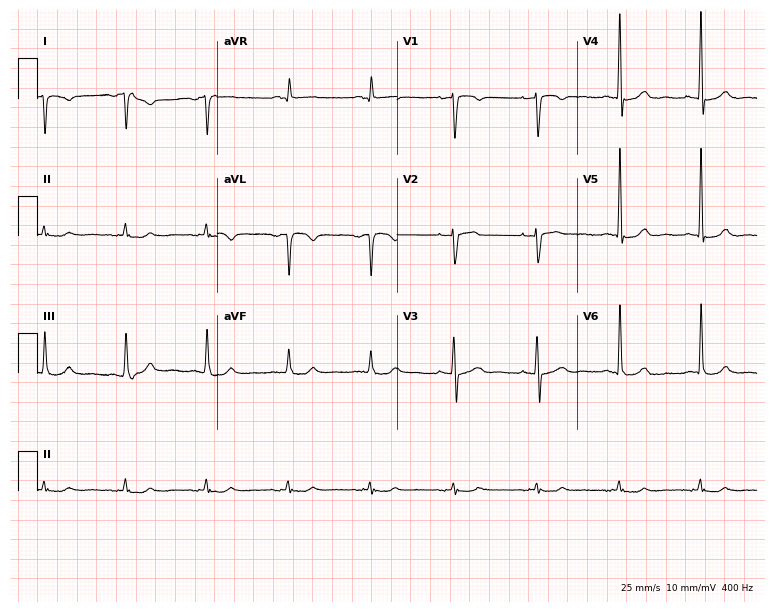
ECG (7.3-second recording at 400 Hz) — a 47-year-old woman. Screened for six findings — first-degree AV block, right bundle branch block (RBBB), left bundle branch block (LBBB), sinus bradycardia, atrial fibrillation (AF), sinus tachycardia — none is recorded. Only these six findings were labelled.